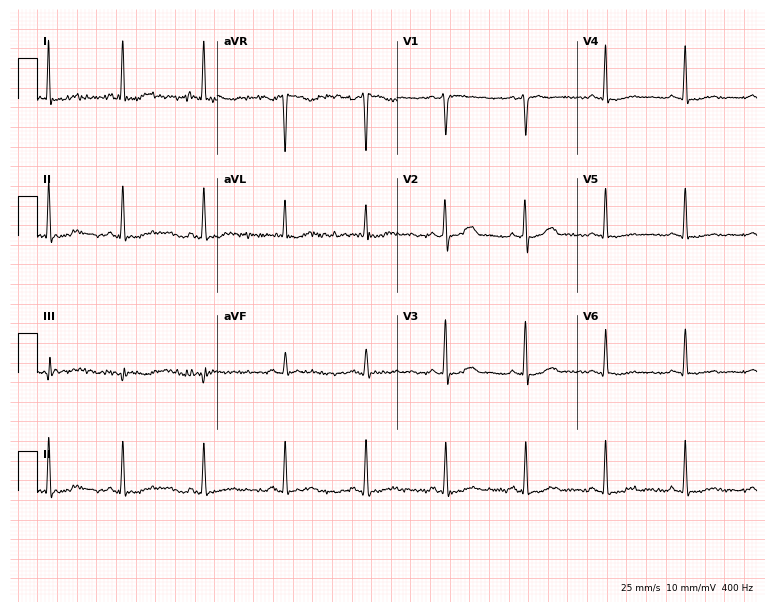
ECG — a woman, 61 years old. Labelled as a normal ECG.